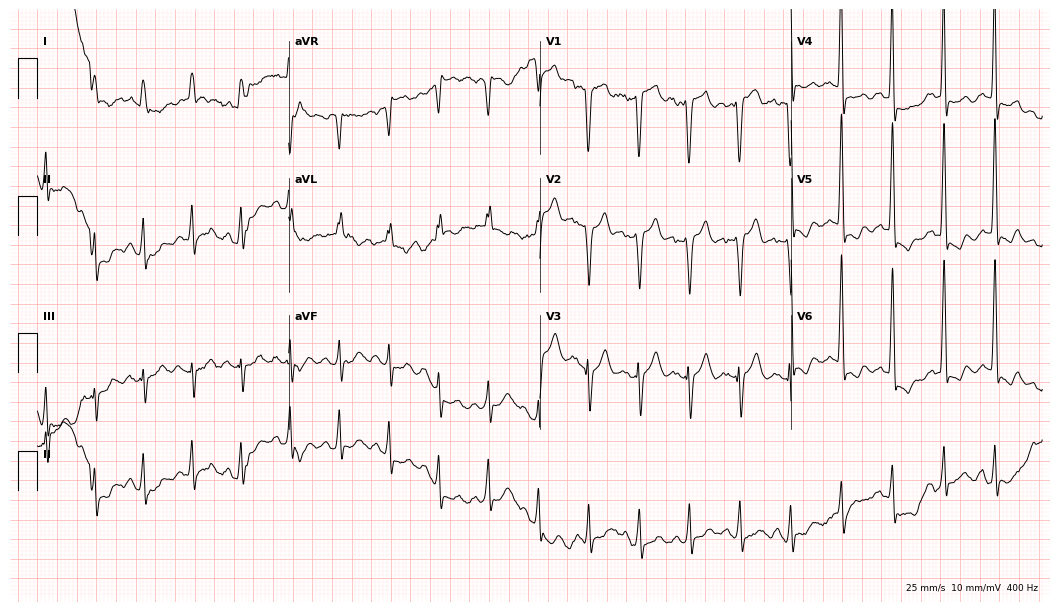
Electrocardiogram (10.2-second recording at 400 Hz), a woman, 82 years old. Interpretation includes sinus tachycardia (a sinus rate of 100 beats per minute or more).